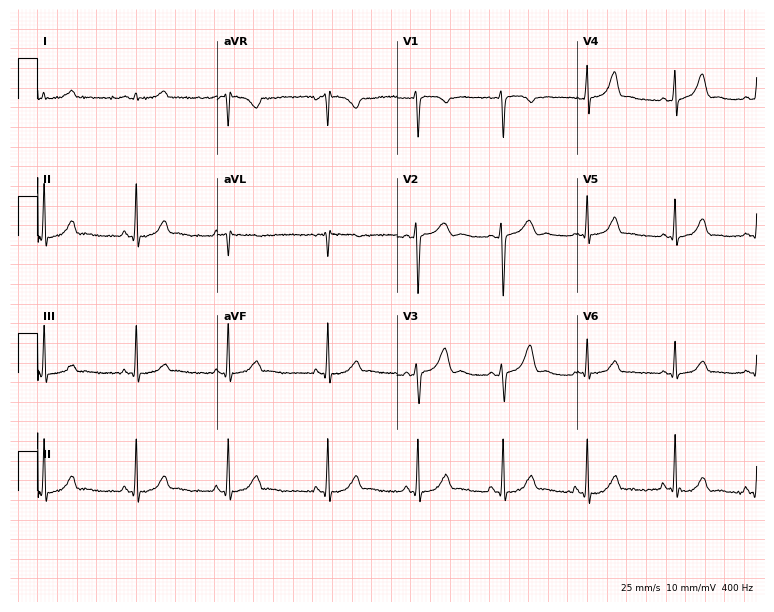
Standard 12-lead ECG recorded from a female, 29 years old. None of these six findings is recorded: first-degree AV block, right bundle branch block, left bundle branch block, sinus bradycardia, atrial fibrillation, sinus tachycardia.